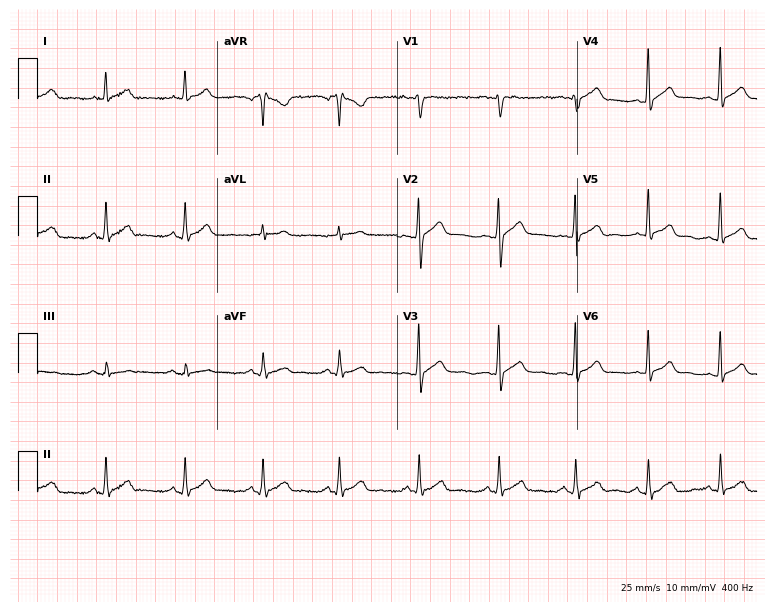
Standard 12-lead ECG recorded from a male, 33 years old. Read as a normal ECG.